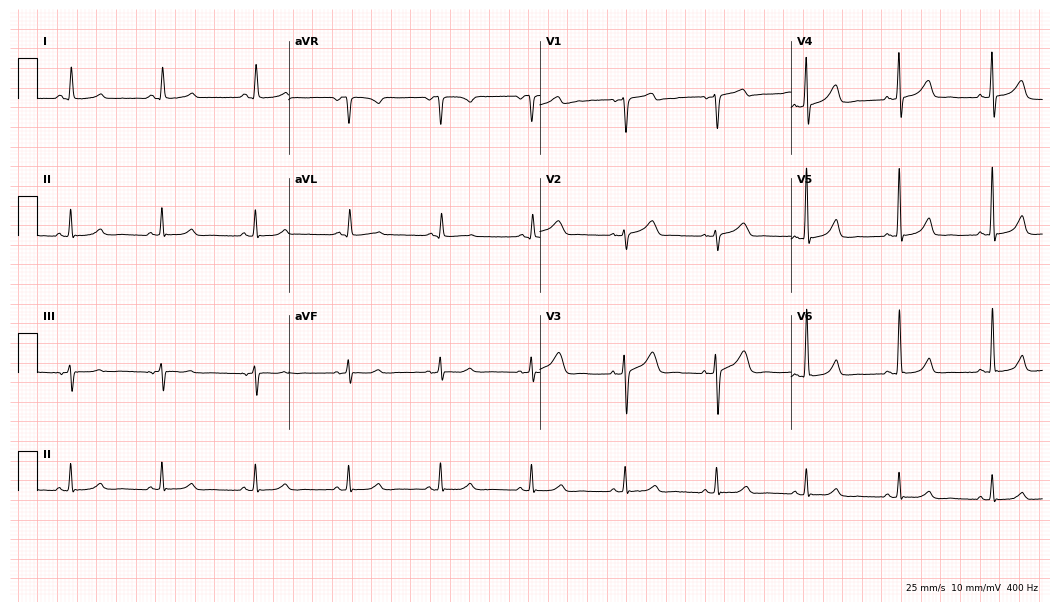
Resting 12-lead electrocardiogram. Patient: a female, 60 years old. Read as a normal ECG.